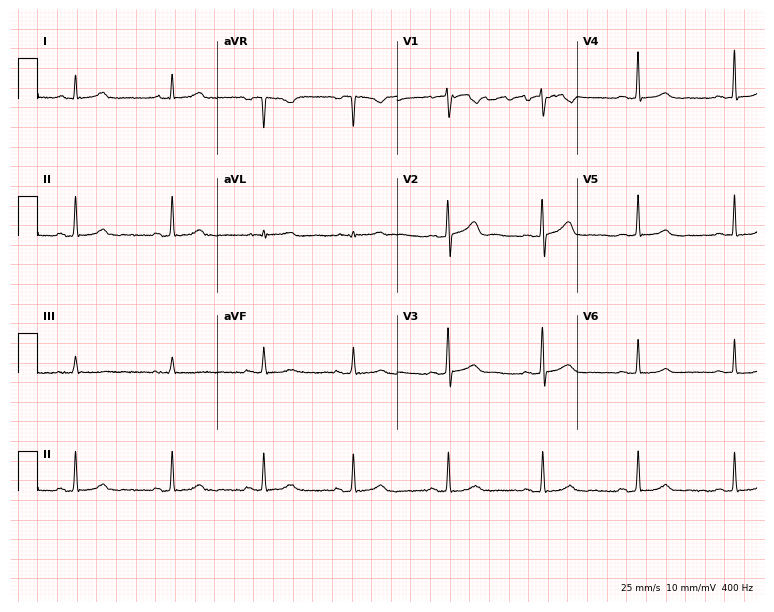
ECG — a female, 38 years old. Labelled as a normal ECG.